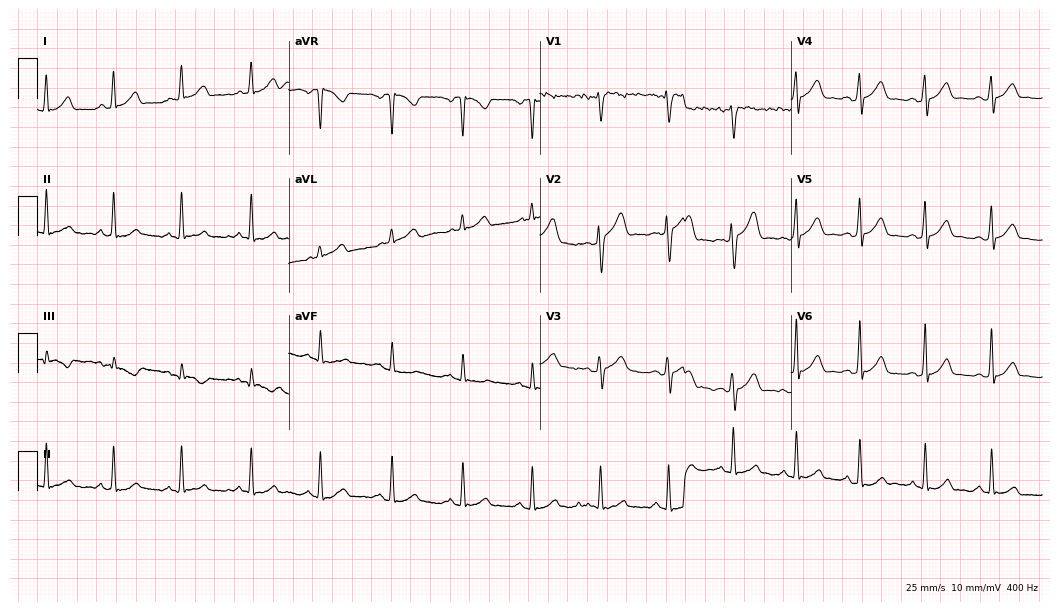
12-lead ECG from a male, 30 years old. Screened for six findings — first-degree AV block, right bundle branch block (RBBB), left bundle branch block (LBBB), sinus bradycardia, atrial fibrillation (AF), sinus tachycardia — none is recorded. Only these six findings were labelled.